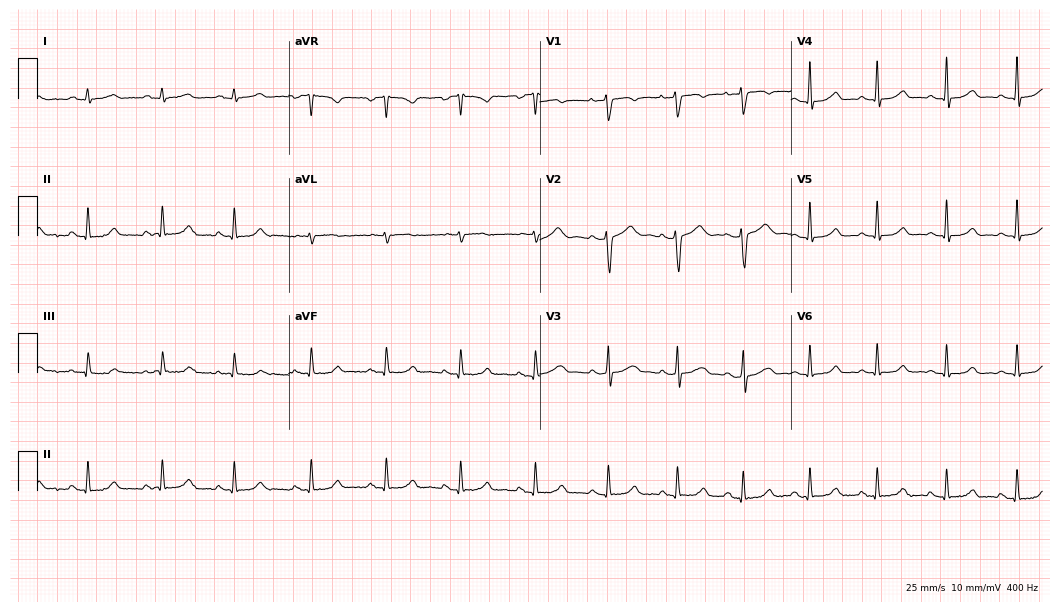
ECG (10.2-second recording at 400 Hz) — a male, 32 years old. Labelled as a normal ECG.